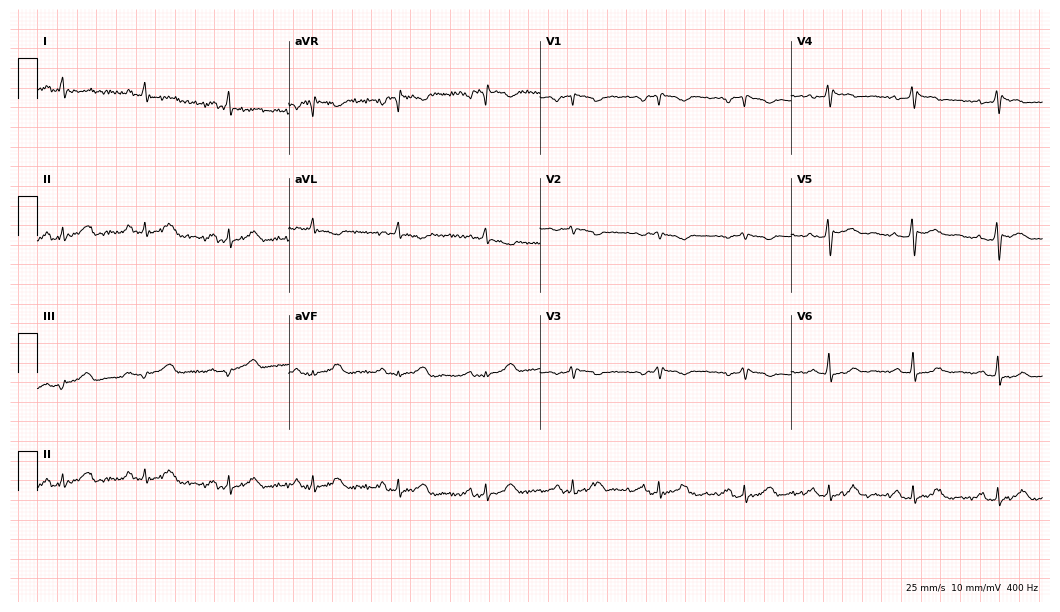
Electrocardiogram (10.2-second recording at 400 Hz), a female, 58 years old. Of the six screened findings (first-degree AV block, right bundle branch block (RBBB), left bundle branch block (LBBB), sinus bradycardia, atrial fibrillation (AF), sinus tachycardia), none is recorded.